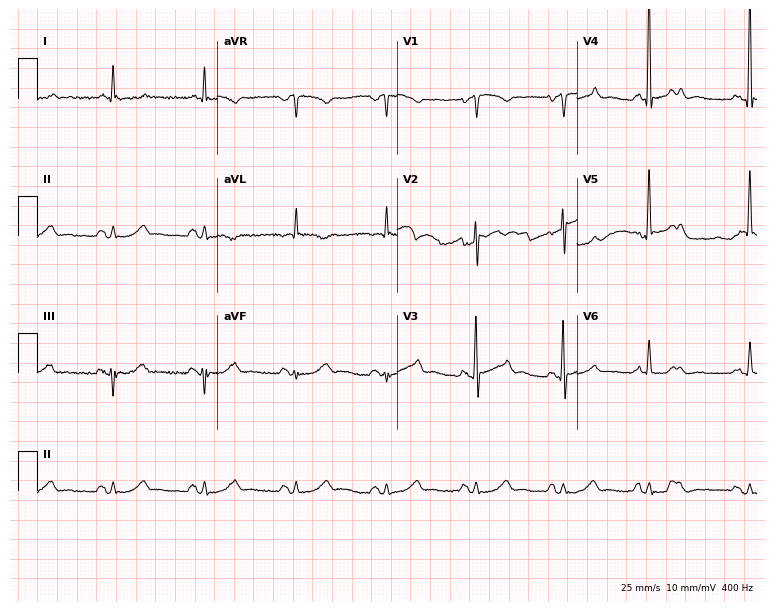
Standard 12-lead ECG recorded from a man, 72 years old. None of these six findings is recorded: first-degree AV block, right bundle branch block, left bundle branch block, sinus bradycardia, atrial fibrillation, sinus tachycardia.